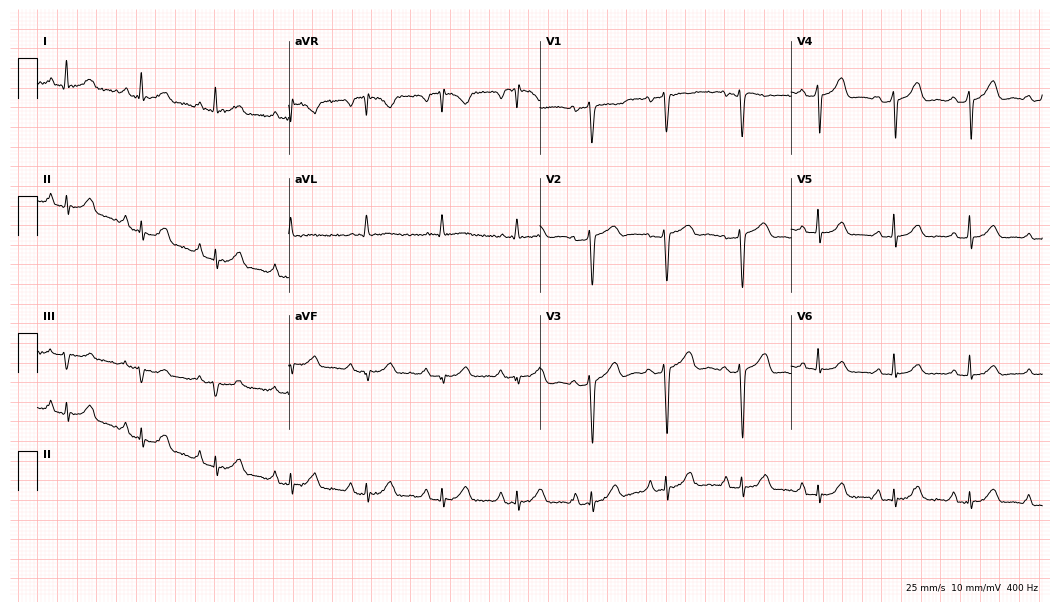
ECG — a woman, 53 years old. Labelled as a normal ECG.